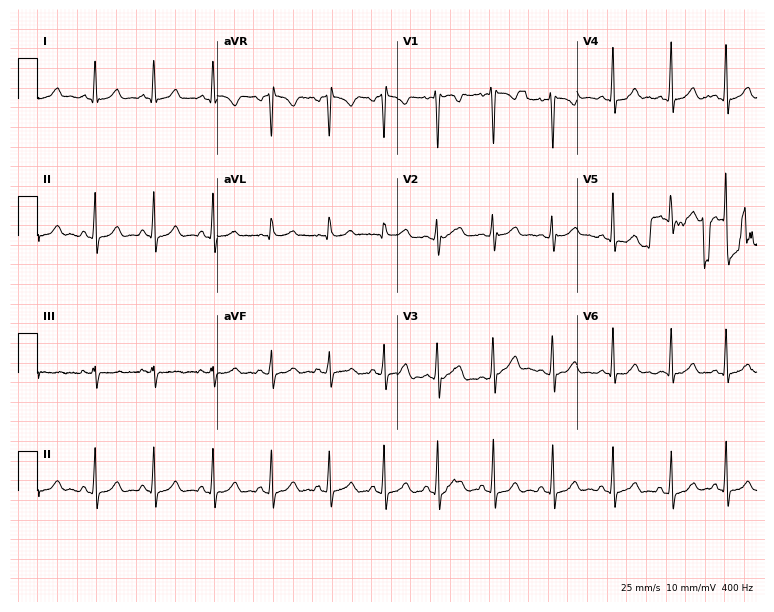
12-lead ECG (7.3-second recording at 400 Hz) from a female patient, 18 years old. Screened for six findings — first-degree AV block, right bundle branch block, left bundle branch block, sinus bradycardia, atrial fibrillation, sinus tachycardia — none is recorded. Other findings, if any, are not listed.